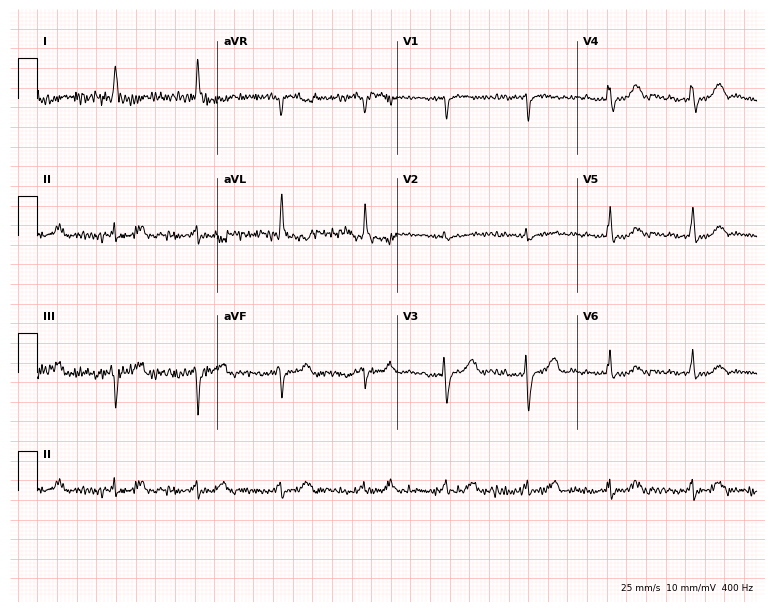
12-lead ECG from a female, 79 years old. No first-degree AV block, right bundle branch block, left bundle branch block, sinus bradycardia, atrial fibrillation or sinus tachycardia recorded for this tracing. Findings outside these six are not listed.